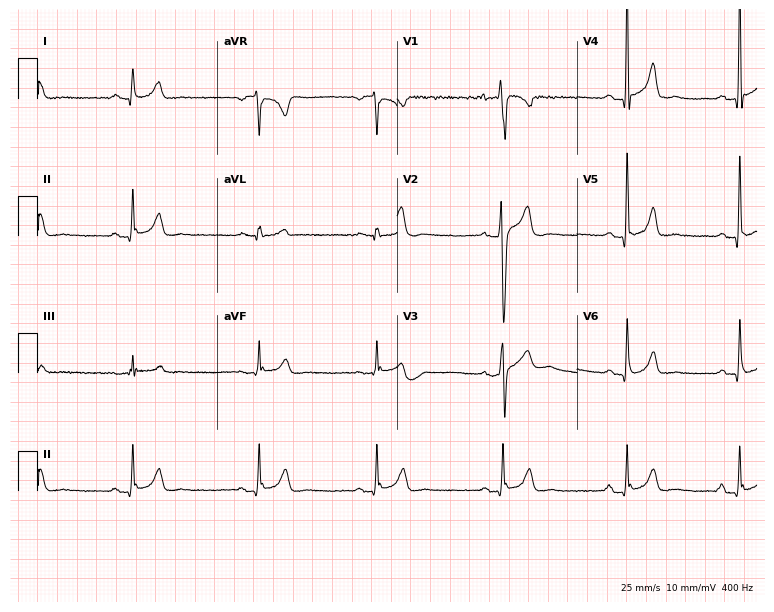
12-lead ECG from a 24-year-old man. Labelled as a normal ECG.